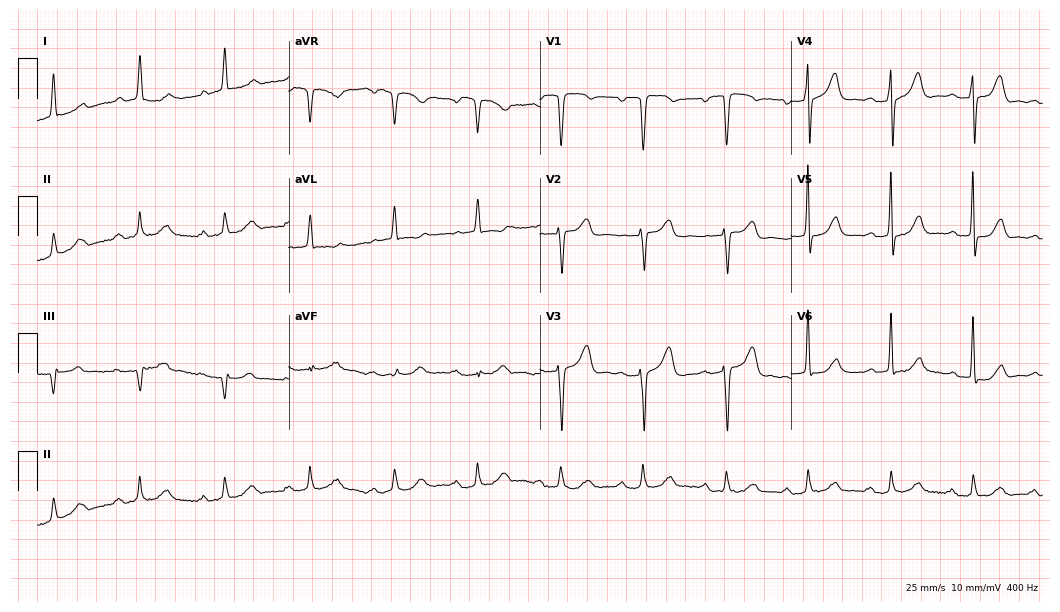
Electrocardiogram, an 85-year-old female patient. Of the six screened findings (first-degree AV block, right bundle branch block, left bundle branch block, sinus bradycardia, atrial fibrillation, sinus tachycardia), none is recorded.